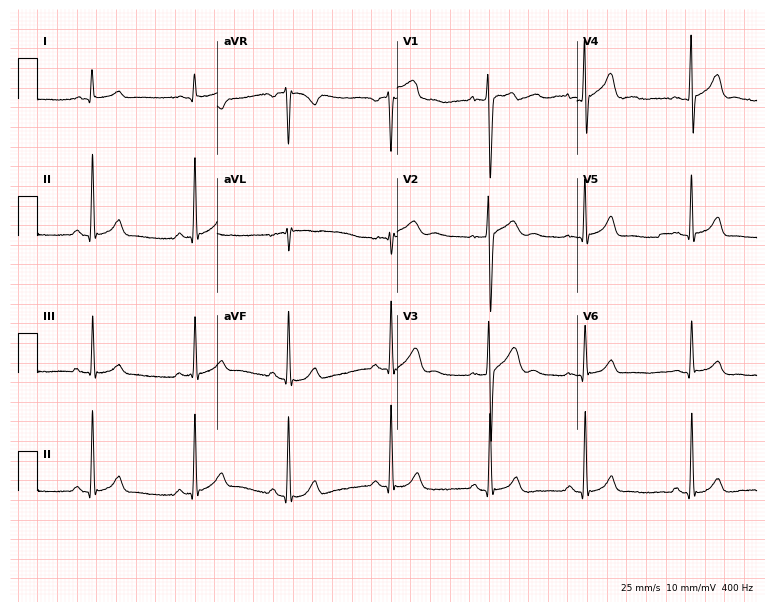
Standard 12-lead ECG recorded from a 23-year-old male patient (7.3-second recording at 400 Hz). None of these six findings is recorded: first-degree AV block, right bundle branch block (RBBB), left bundle branch block (LBBB), sinus bradycardia, atrial fibrillation (AF), sinus tachycardia. Findings outside these six are not listed.